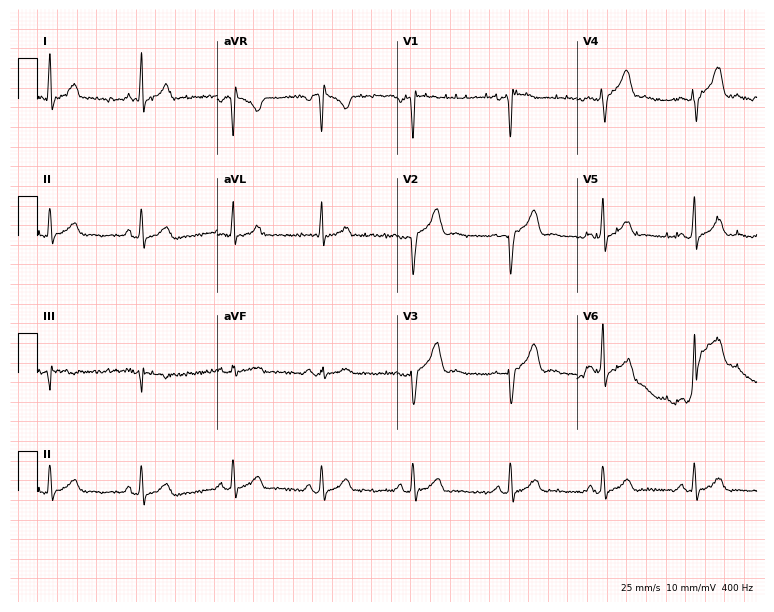
Resting 12-lead electrocardiogram (7.3-second recording at 400 Hz). Patient: a 22-year-old male. None of these six findings is recorded: first-degree AV block, right bundle branch block, left bundle branch block, sinus bradycardia, atrial fibrillation, sinus tachycardia.